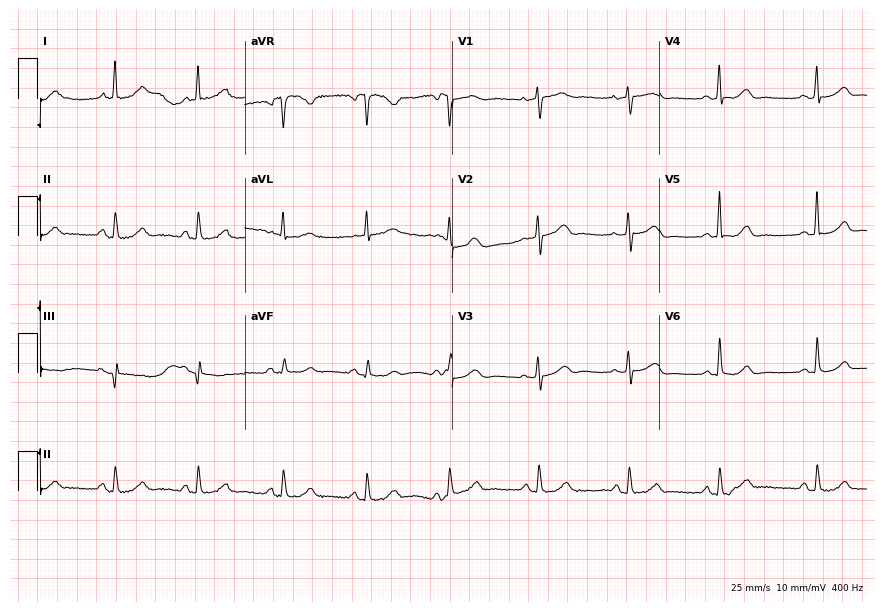
12-lead ECG from a female patient, 58 years old. Recorded interpretation: within normal limits.